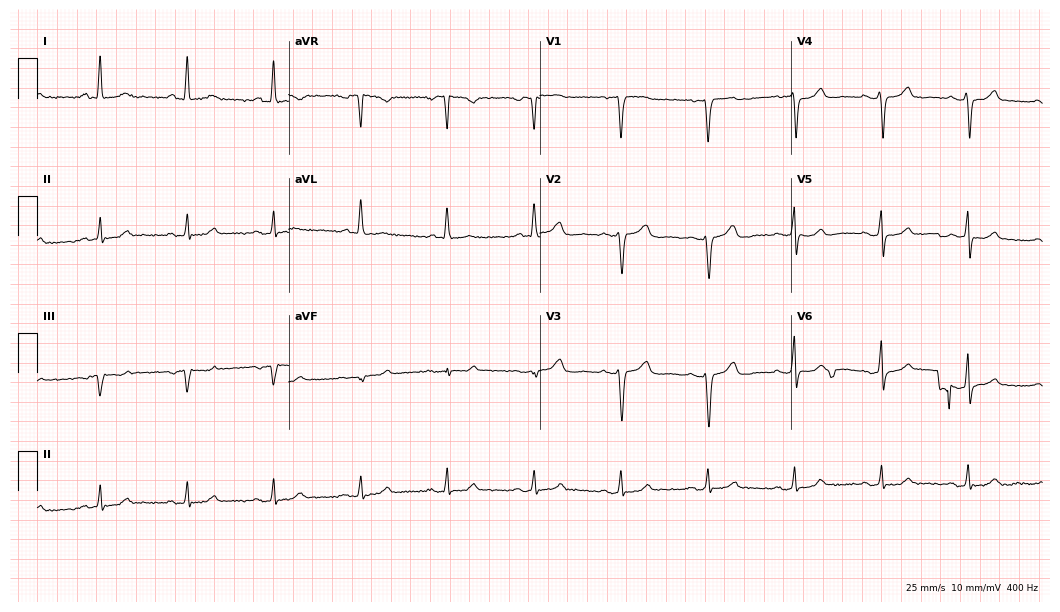
12-lead ECG (10.2-second recording at 400 Hz) from a 77-year-old woman. Labelled as a normal ECG.